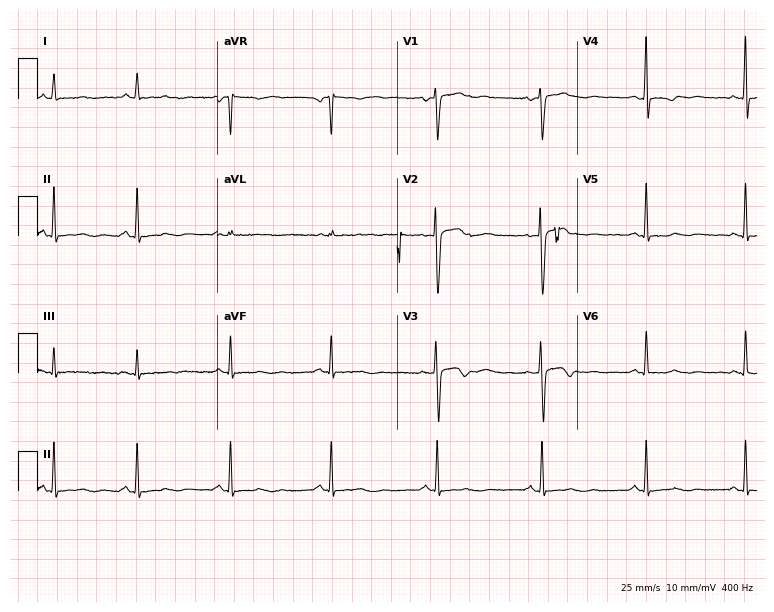
Electrocardiogram (7.3-second recording at 400 Hz), a woman, 41 years old. Of the six screened findings (first-degree AV block, right bundle branch block, left bundle branch block, sinus bradycardia, atrial fibrillation, sinus tachycardia), none is recorded. Only these six findings were labelled.